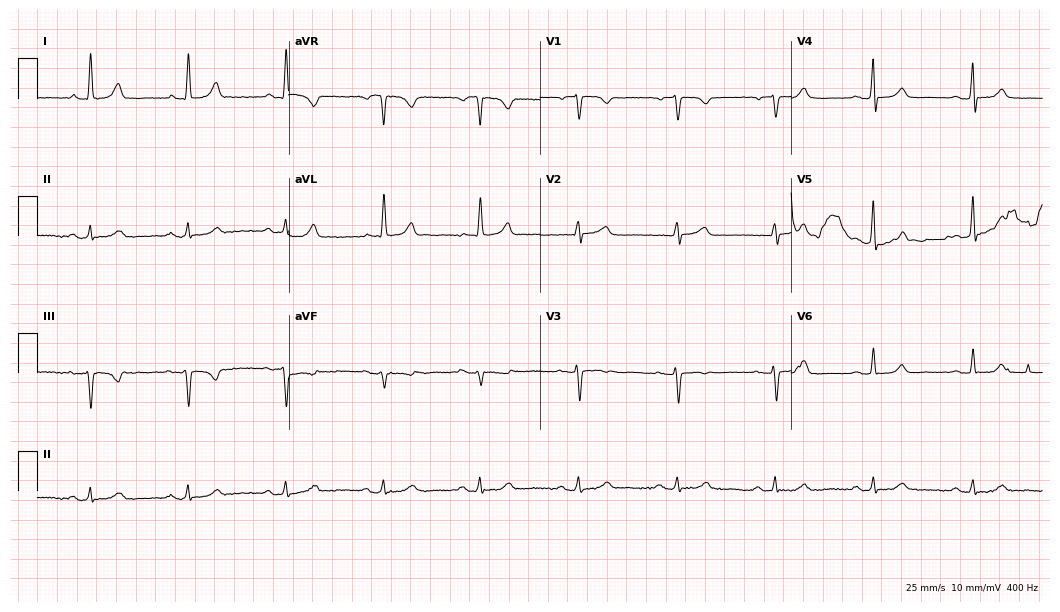
ECG — a woman, 75 years old. Screened for six findings — first-degree AV block, right bundle branch block, left bundle branch block, sinus bradycardia, atrial fibrillation, sinus tachycardia — none is recorded.